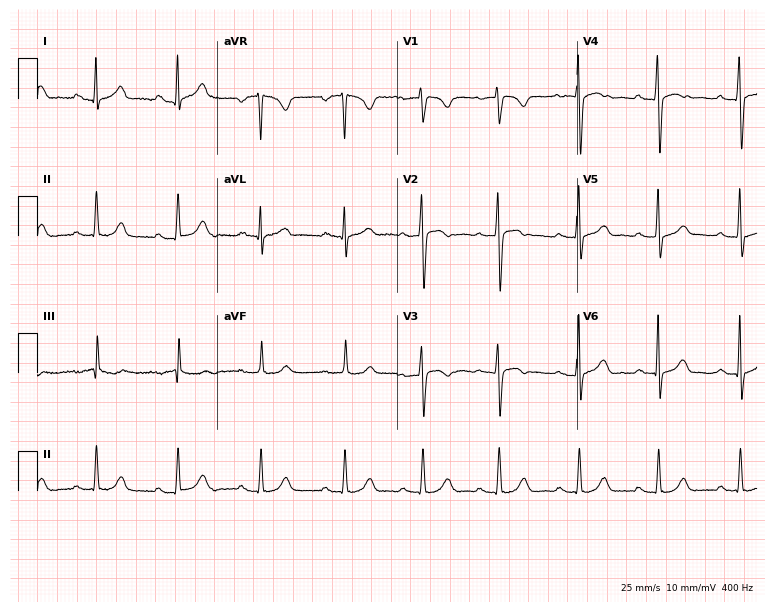
ECG (7.3-second recording at 400 Hz) — a woman, 33 years old. Labelled as a normal ECG.